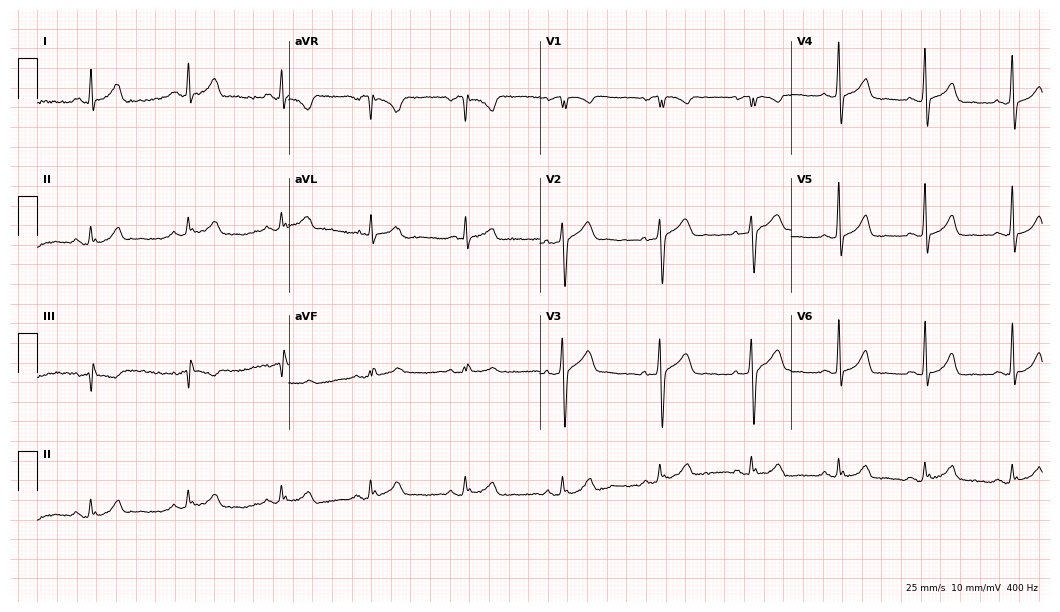
Standard 12-lead ECG recorded from a 38-year-old male patient. Read as a normal ECG.